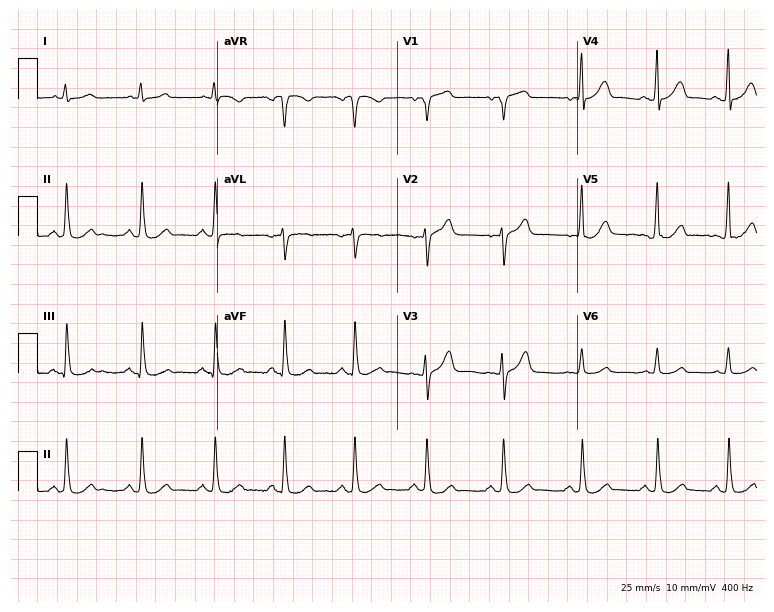
ECG (7.3-second recording at 400 Hz) — a 72-year-old woman. Screened for six findings — first-degree AV block, right bundle branch block, left bundle branch block, sinus bradycardia, atrial fibrillation, sinus tachycardia — none is recorded.